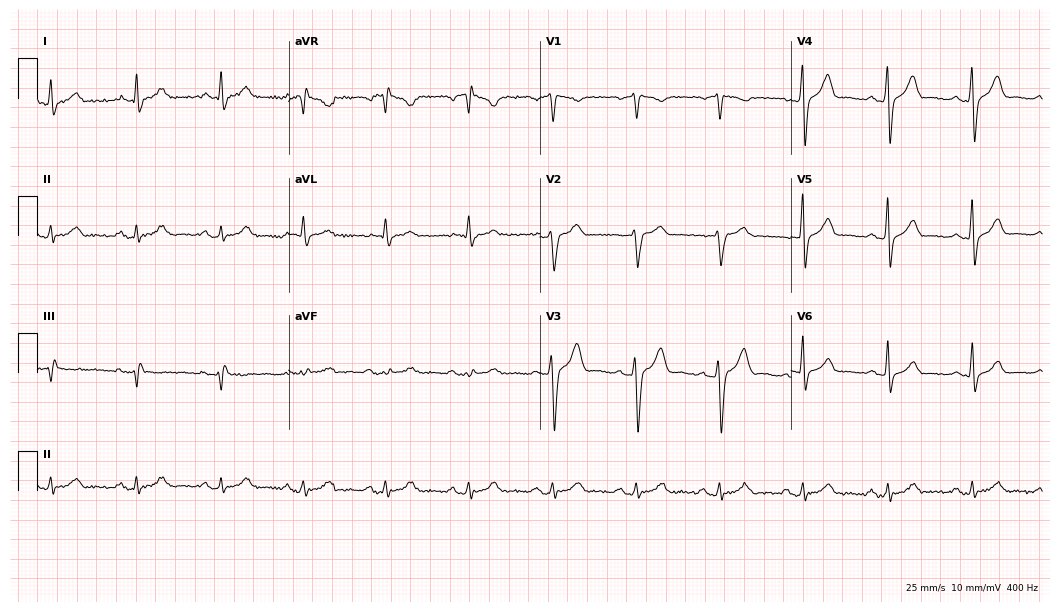
12-lead ECG (10.2-second recording at 400 Hz) from a man, 50 years old. Screened for six findings — first-degree AV block, right bundle branch block (RBBB), left bundle branch block (LBBB), sinus bradycardia, atrial fibrillation (AF), sinus tachycardia — none is recorded. Other findings, if any, are not listed.